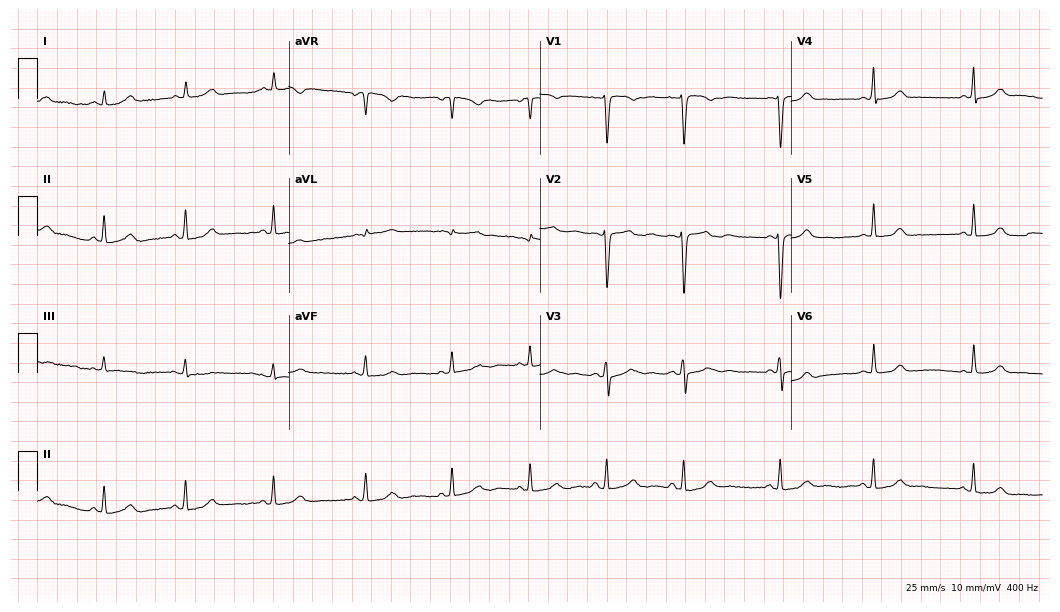
Electrocardiogram (10.2-second recording at 400 Hz), a 21-year-old female. Overall reading on record: normal ECG.